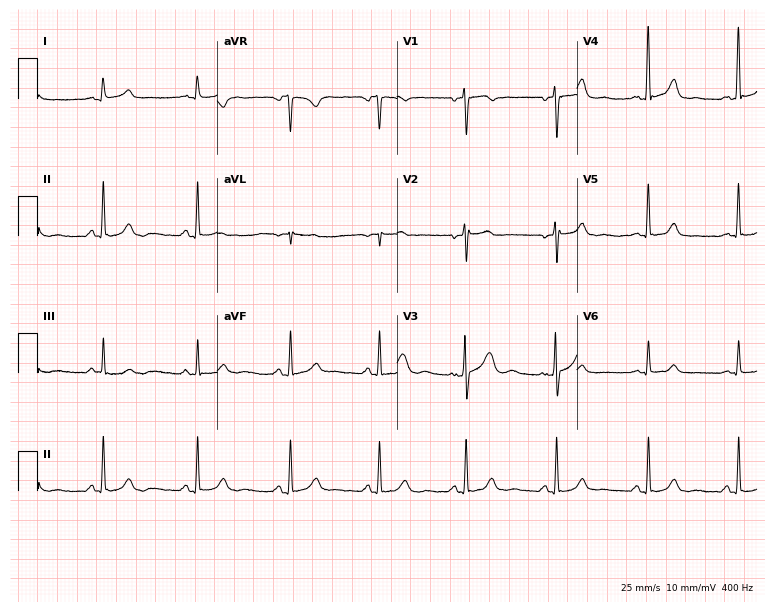
Resting 12-lead electrocardiogram (7.3-second recording at 400 Hz). Patient: a 53-year-old man. None of these six findings is recorded: first-degree AV block, right bundle branch block, left bundle branch block, sinus bradycardia, atrial fibrillation, sinus tachycardia.